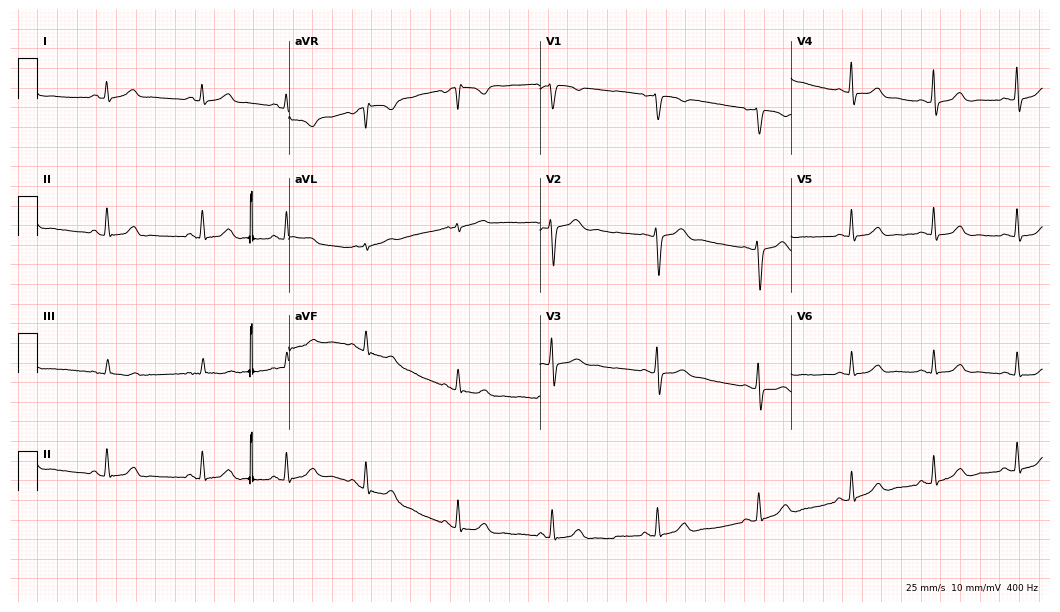
ECG (10.2-second recording at 400 Hz) — a 29-year-old female patient. Labelled as a normal ECG.